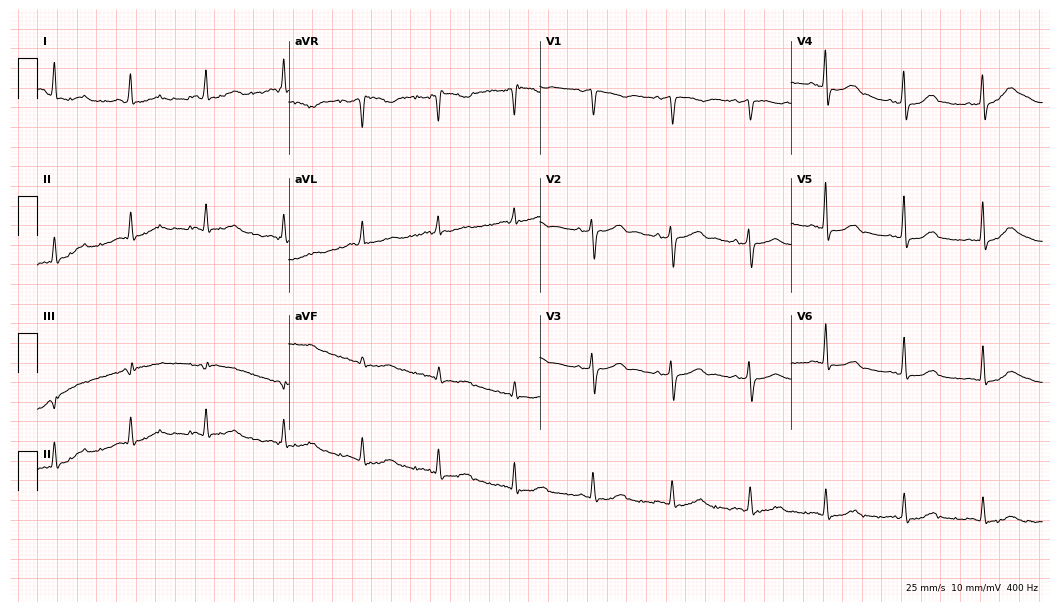
Resting 12-lead electrocardiogram (10.2-second recording at 400 Hz). Patient: a 60-year-old female. Read as a normal ECG.